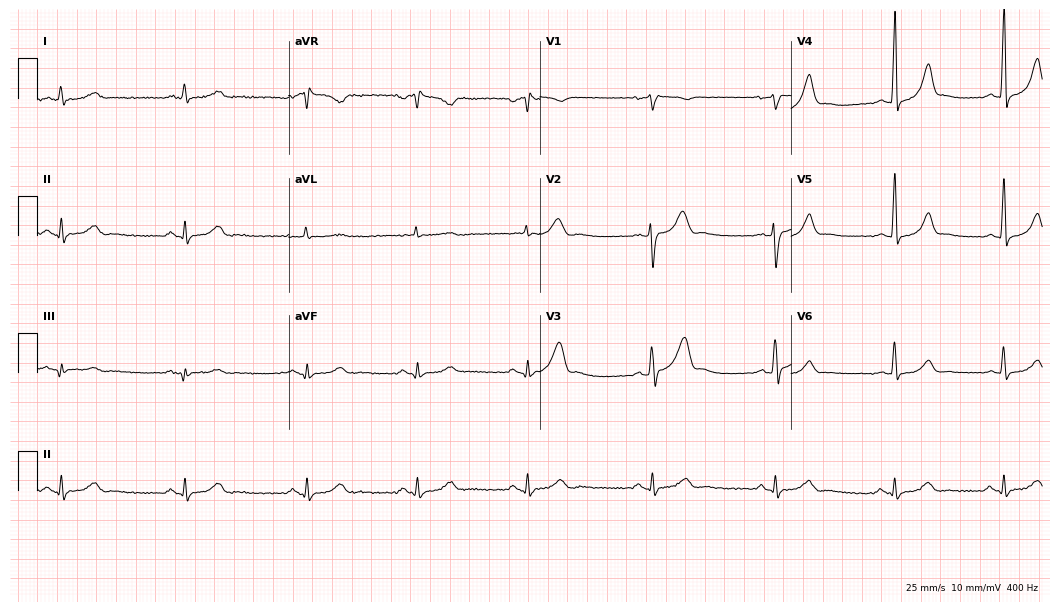
Resting 12-lead electrocardiogram (10.2-second recording at 400 Hz). Patient: a man, 27 years old. Read as a normal ECG.